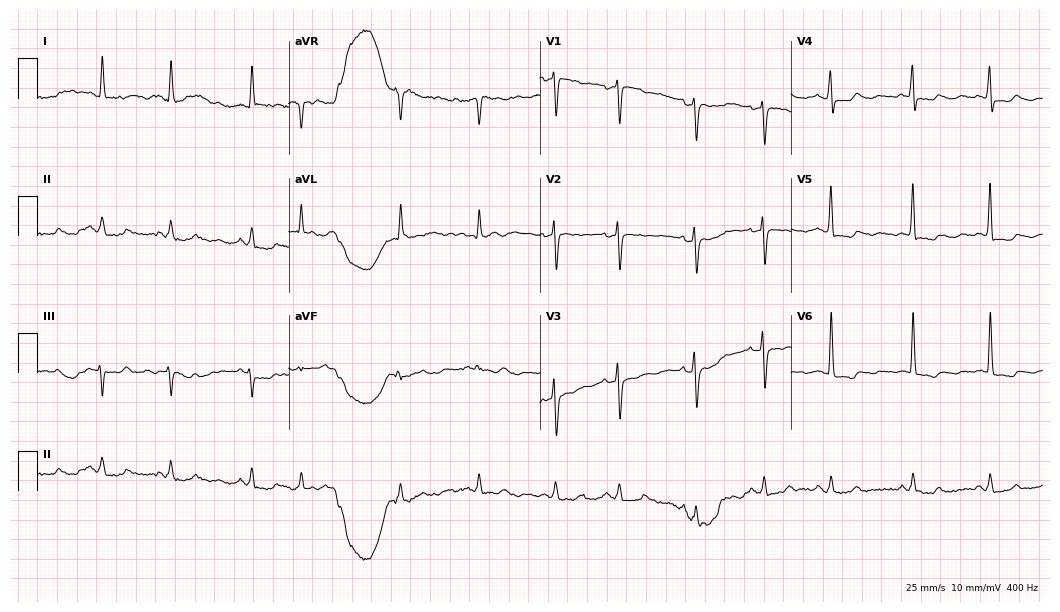
Electrocardiogram (10.2-second recording at 400 Hz), a female, 82 years old. Of the six screened findings (first-degree AV block, right bundle branch block, left bundle branch block, sinus bradycardia, atrial fibrillation, sinus tachycardia), none is recorded.